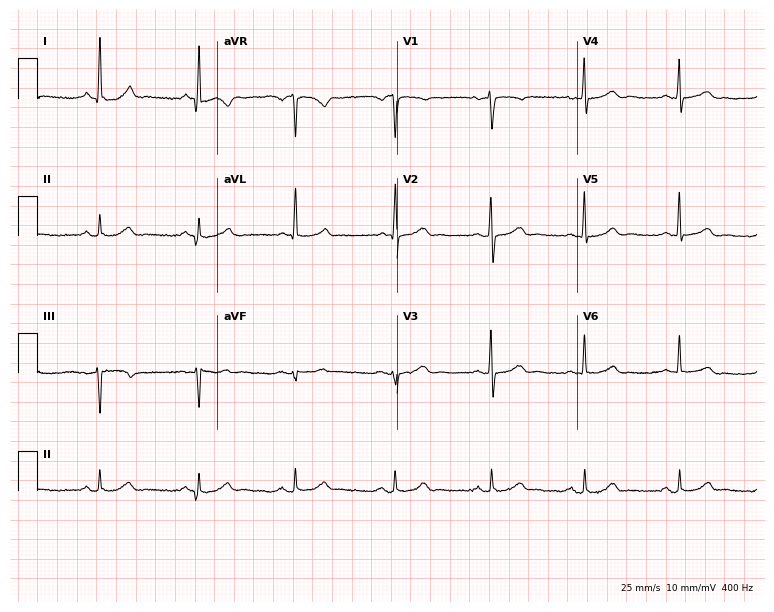
Resting 12-lead electrocardiogram (7.3-second recording at 400 Hz). Patient: a 67-year-old female. None of these six findings is recorded: first-degree AV block, right bundle branch block, left bundle branch block, sinus bradycardia, atrial fibrillation, sinus tachycardia.